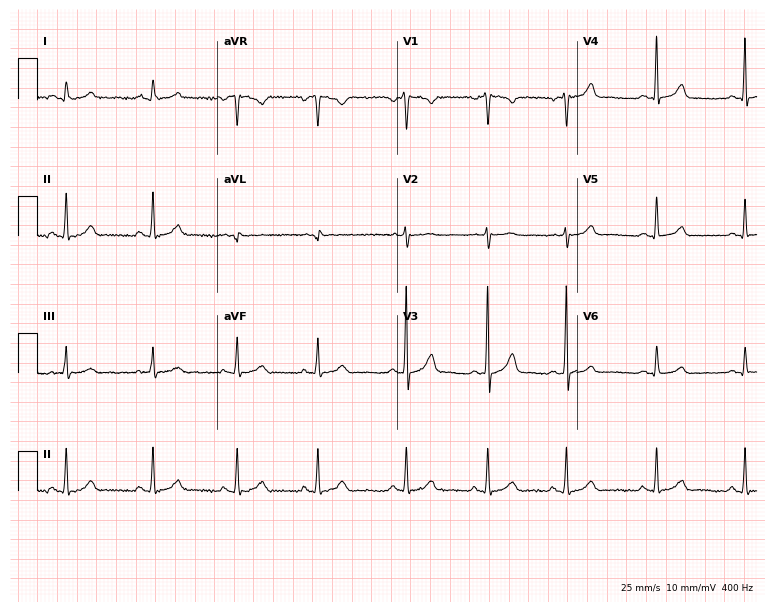
12-lead ECG from an 18-year-old woman. Recorded interpretation: within normal limits.